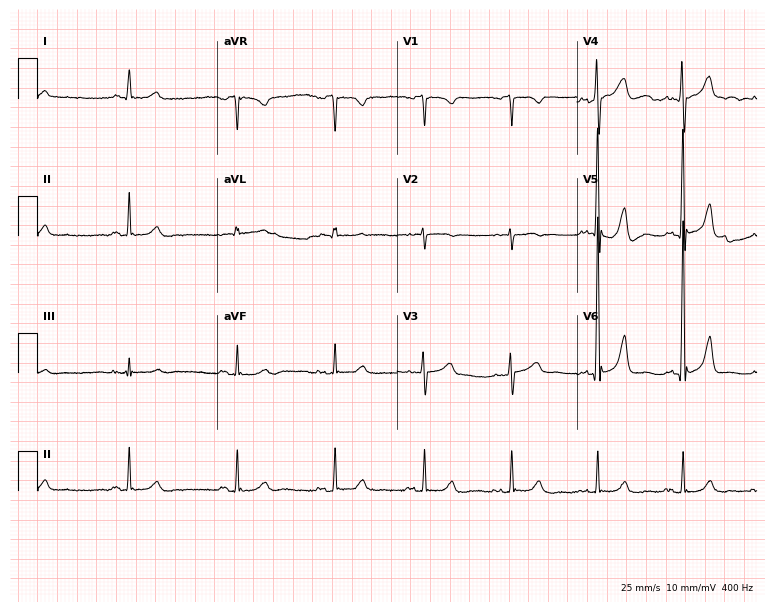
Electrocardiogram (7.3-second recording at 400 Hz), a male, 70 years old. Overall reading on record: normal ECG.